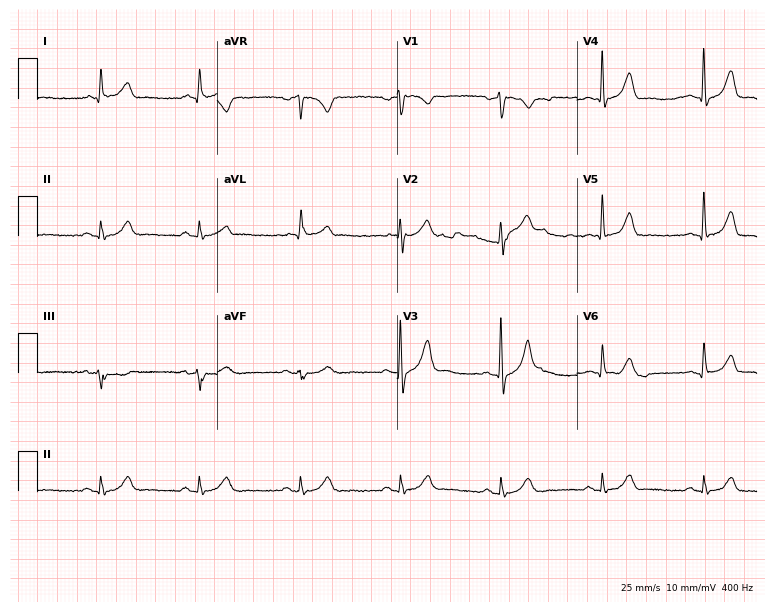
ECG (7.3-second recording at 400 Hz) — a man, 61 years old. Labelled as a normal ECG.